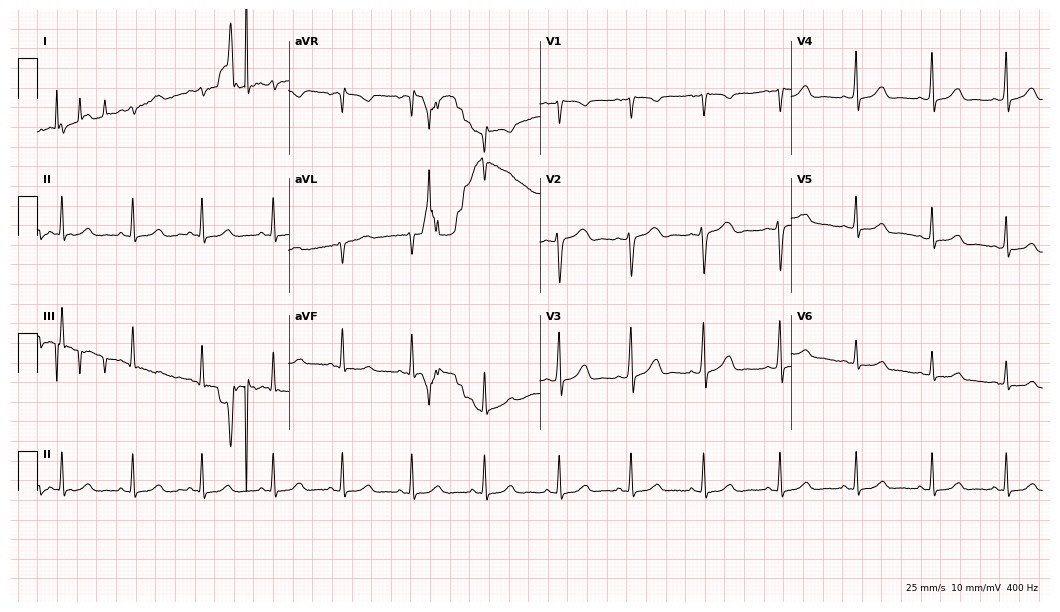
Electrocardiogram, a 28-year-old woman. Of the six screened findings (first-degree AV block, right bundle branch block, left bundle branch block, sinus bradycardia, atrial fibrillation, sinus tachycardia), none is recorded.